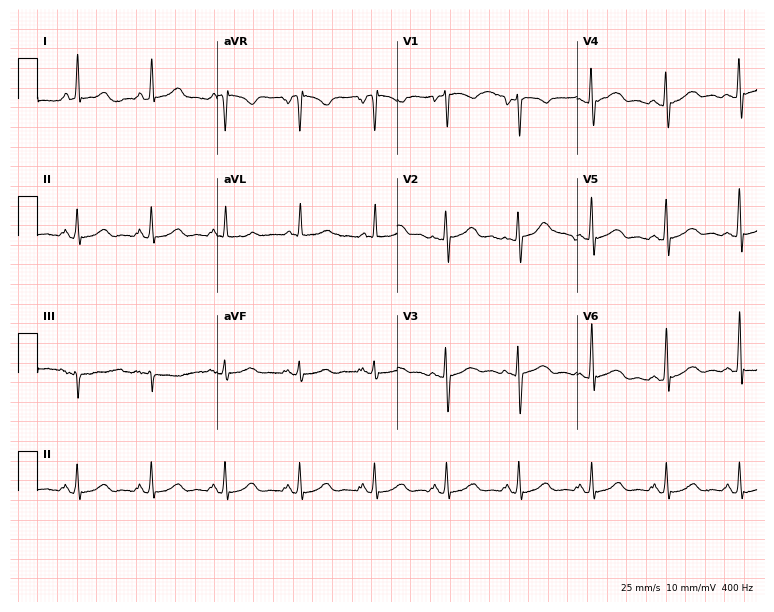
ECG (7.3-second recording at 400 Hz) — a 45-year-old woman. Screened for six findings — first-degree AV block, right bundle branch block, left bundle branch block, sinus bradycardia, atrial fibrillation, sinus tachycardia — none is recorded.